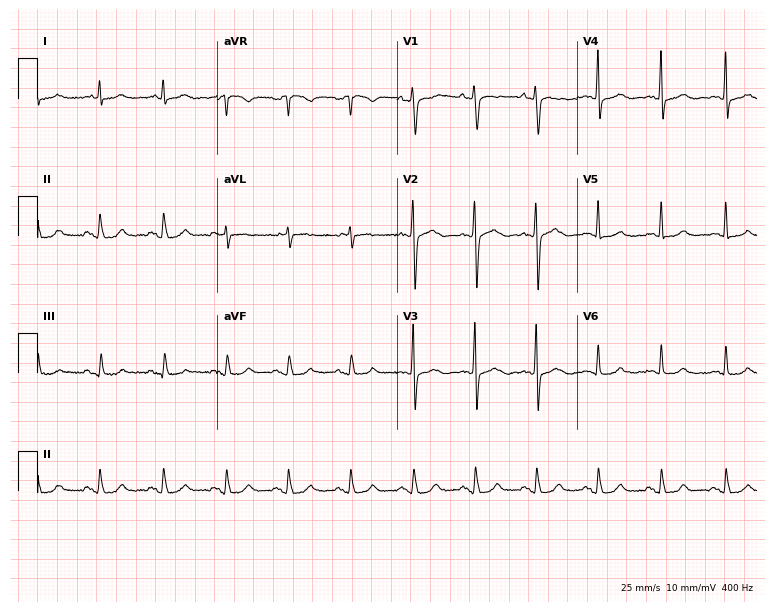
12-lead ECG from a 61-year-old male. Recorded interpretation: within normal limits.